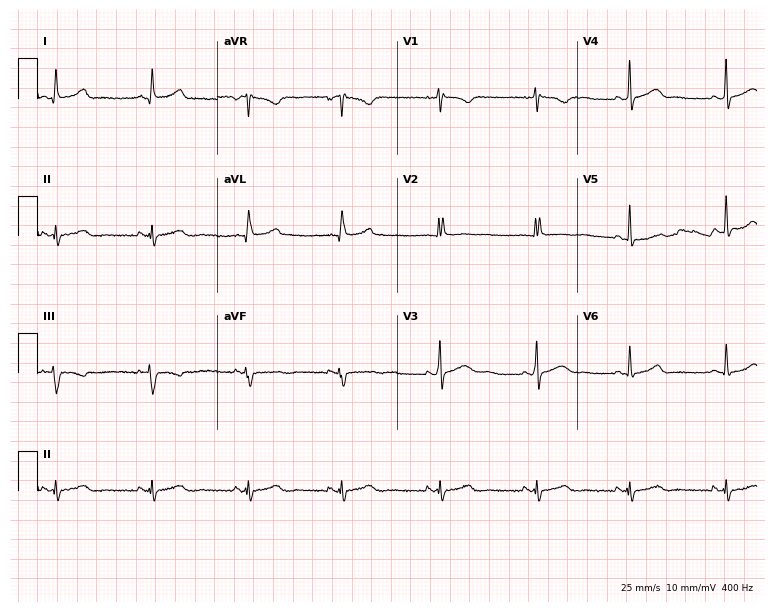
12-lead ECG (7.3-second recording at 400 Hz) from a 34-year-old female. Screened for six findings — first-degree AV block, right bundle branch block (RBBB), left bundle branch block (LBBB), sinus bradycardia, atrial fibrillation (AF), sinus tachycardia — none is recorded.